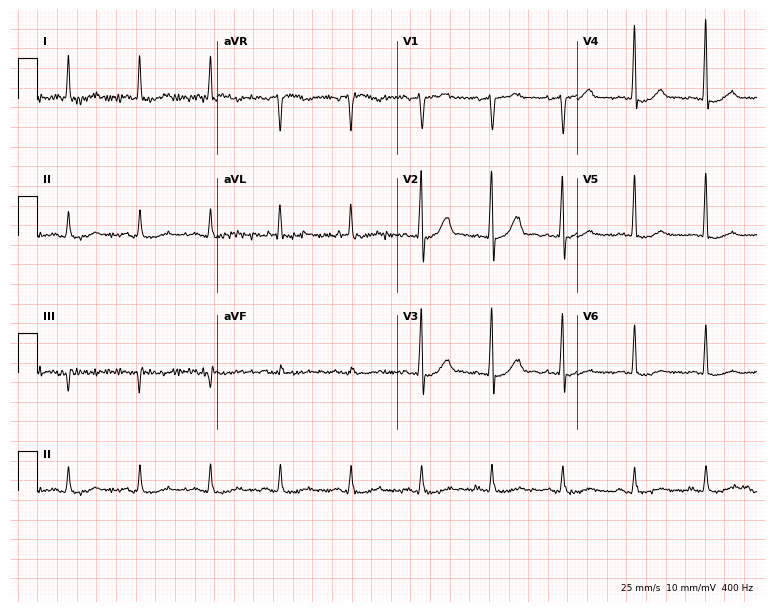
Resting 12-lead electrocardiogram. Patient: a man, 73 years old. None of these six findings is recorded: first-degree AV block, right bundle branch block, left bundle branch block, sinus bradycardia, atrial fibrillation, sinus tachycardia.